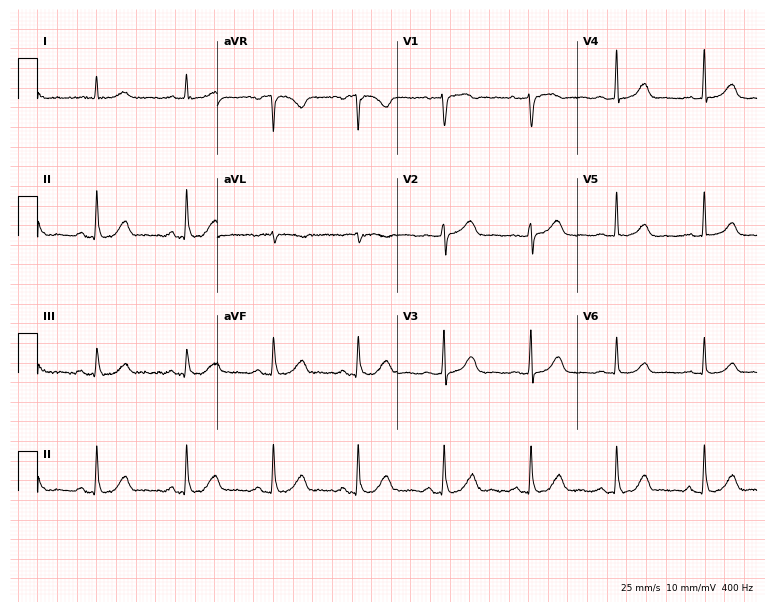
Resting 12-lead electrocardiogram. Patient: a female, 67 years old. Read as a normal ECG.